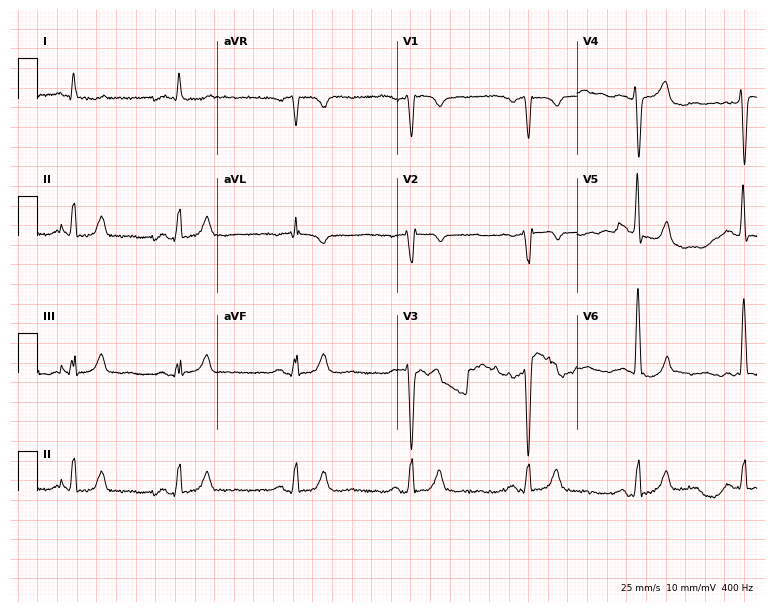
Electrocardiogram (7.3-second recording at 400 Hz), a 67-year-old male patient. Overall reading on record: normal ECG.